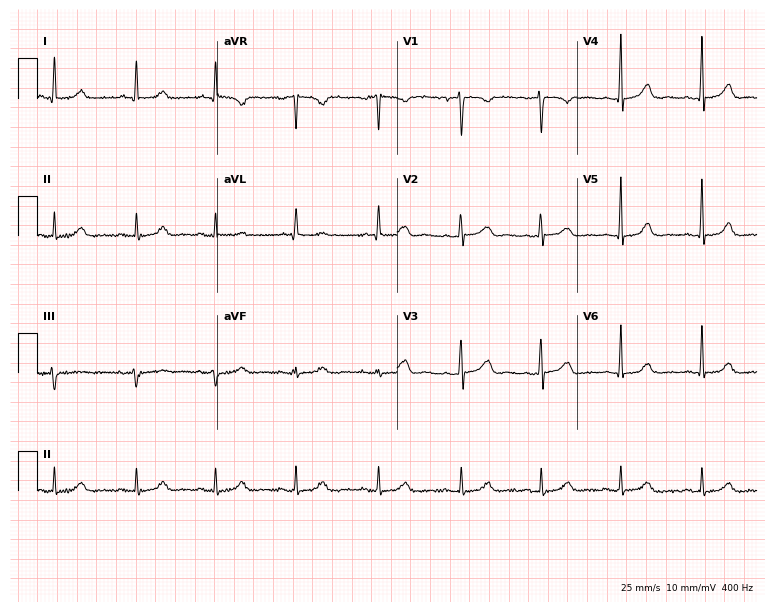
Standard 12-lead ECG recorded from a 37-year-old woman. Read as a normal ECG.